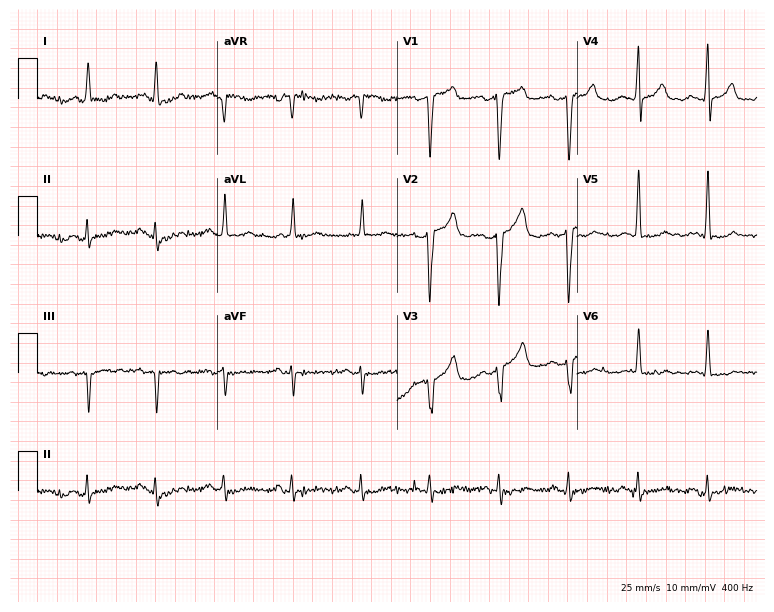
Standard 12-lead ECG recorded from a male patient, 80 years old (7.3-second recording at 400 Hz). Read as a normal ECG.